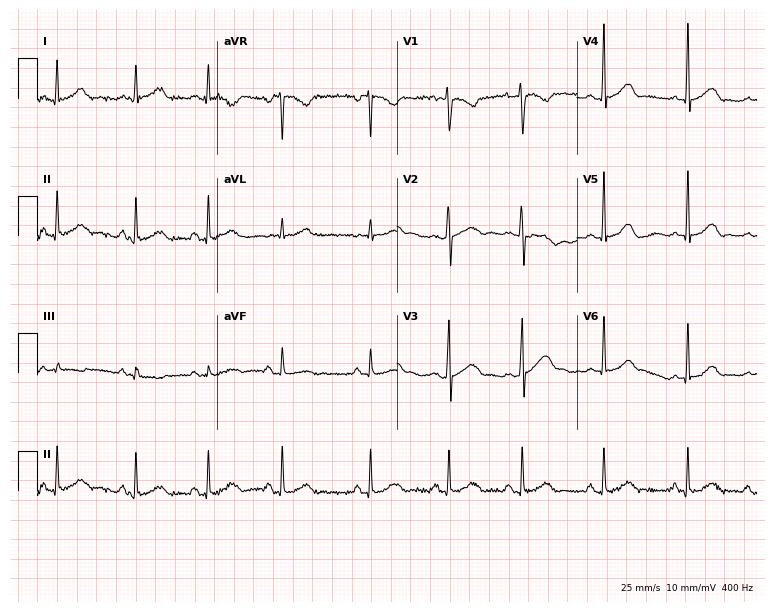
12-lead ECG from a female, 17 years old. No first-degree AV block, right bundle branch block, left bundle branch block, sinus bradycardia, atrial fibrillation or sinus tachycardia recorded for this tracing. Other findings, if any, are not listed.